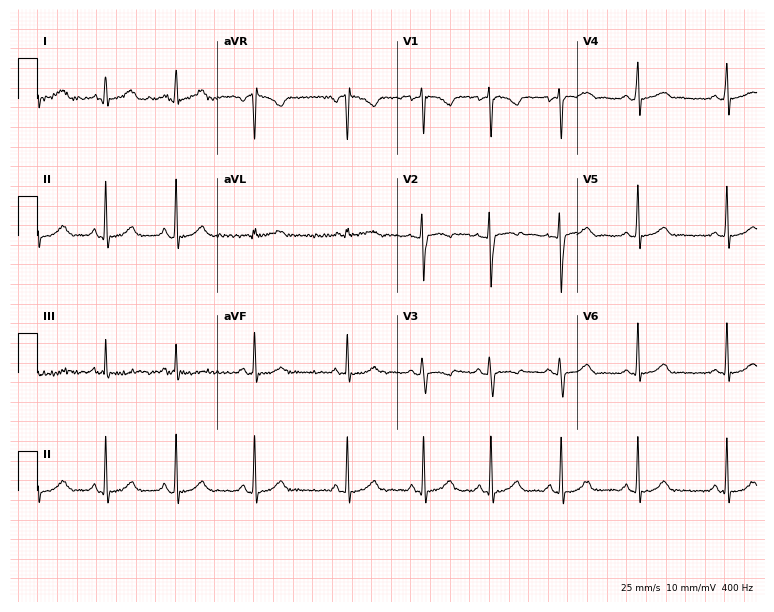
12-lead ECG from a 19-year-old female (7.3-second recording at 400 Hz). No first-degree AV block, right bundle branch block (RBBB), left bundle branch block (LBBB), sinus bradycardia, atrial fibrillation (AF) or sinus tachycardia recorded for this tracing.